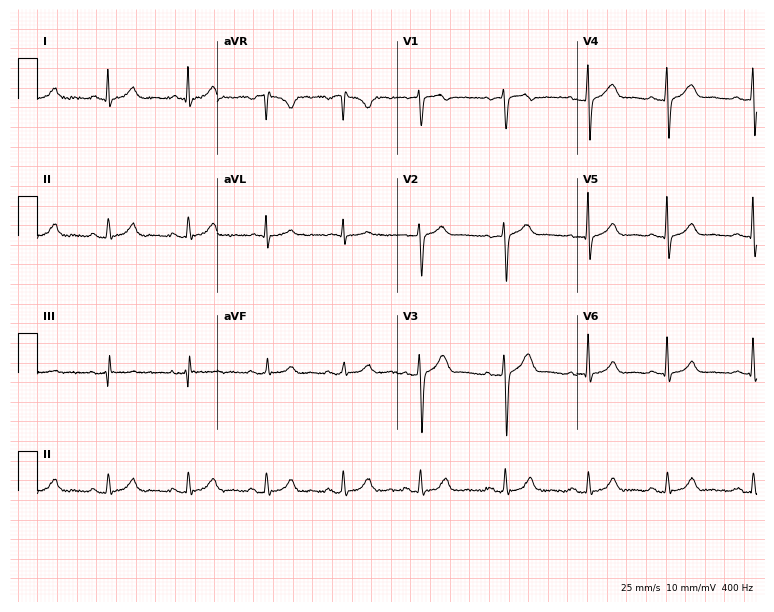
Electrocardiogram (7.3-second recording at 400 Hz), a 51-year-old male patient. Overall reading on record: normal ECG.